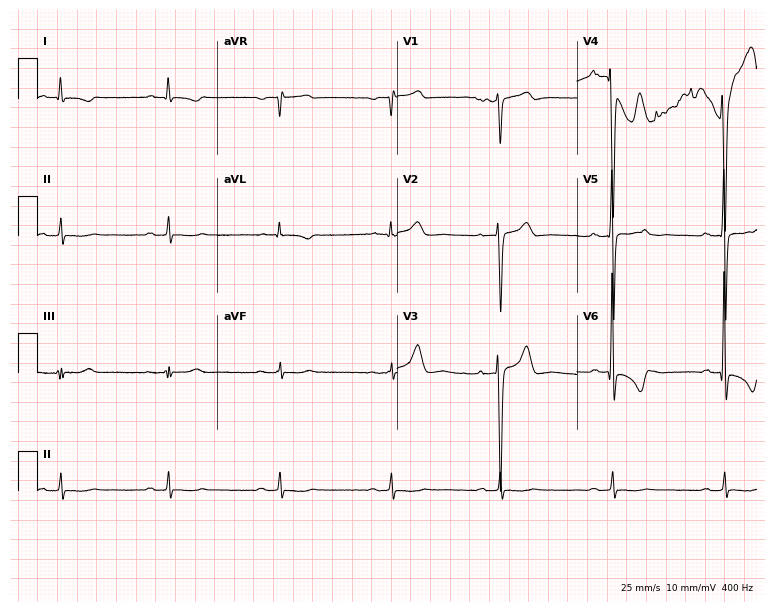
Standard 12-lead ECG recorded from a man, 68 years old (7.3-second recording at 400 Hz). None of these six findings is recorded: first-degree AV block, right bundle branch block (RBBB), left bundle branch block (LBBB), sinus bradycardia, atrial fibrillation (AF), sinus tachycardia.